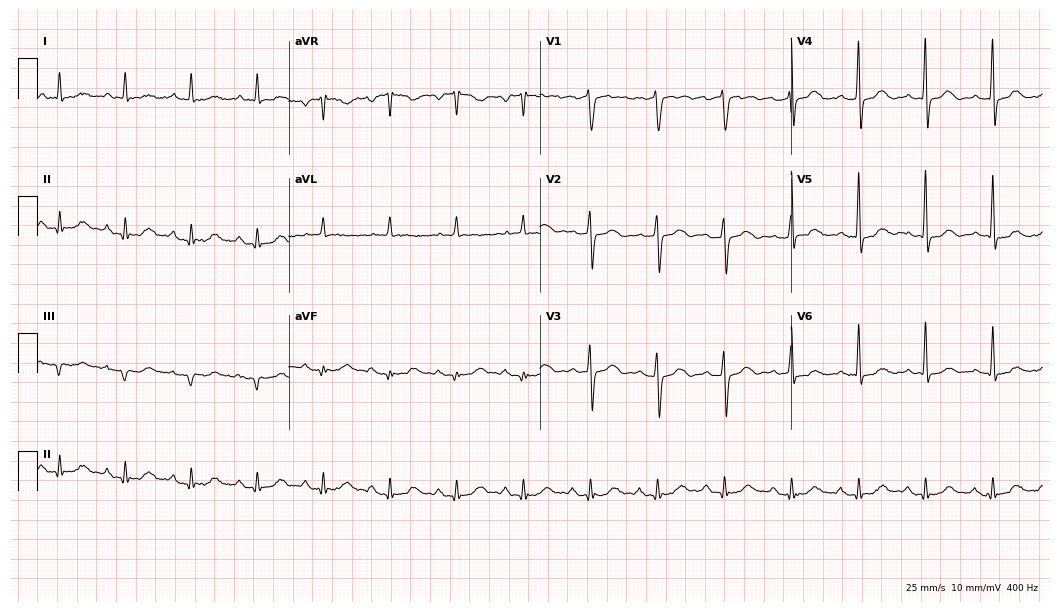
12-lead ECG (10.2-second recording at 400 Hz) from a male patient, 79 years old. Screened for six findings — first-degree AV block, right bundle branch block, left bundle branch block, sinus bradycardia, atrial fibrillation, sinus tachycardia — none is recorded.